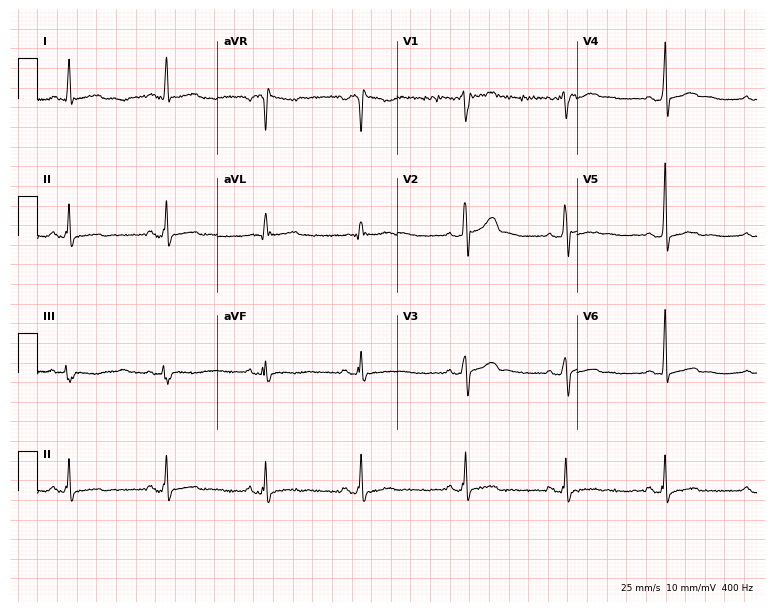
Electrocardiogram (7.3-second recording at 400 Hz), a male patient, 55 years old. Overall reading on record: normal ECG.